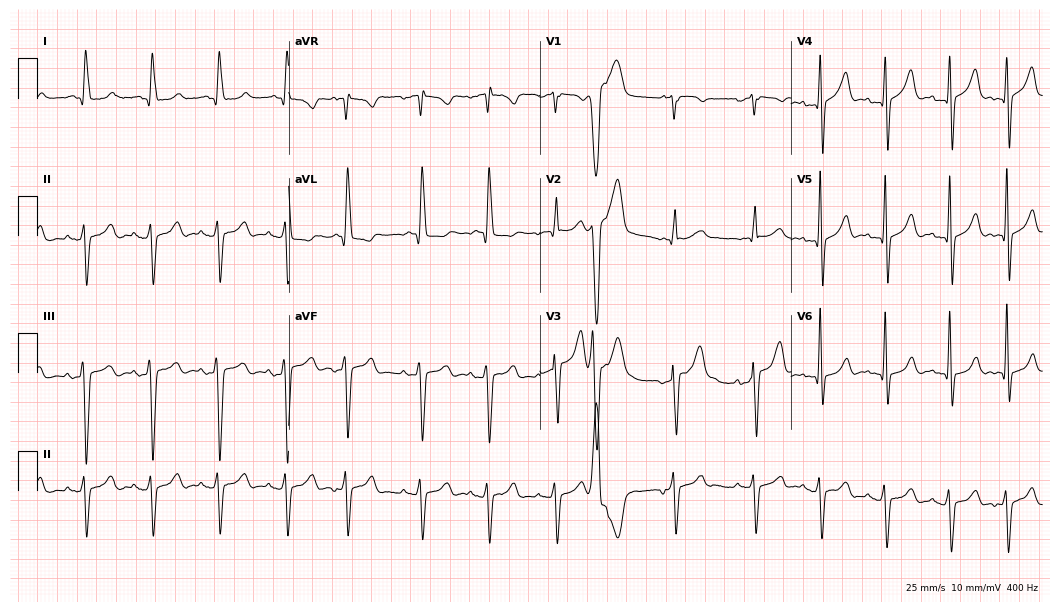
Standard 12-lead ECG recorded from a male patient, 54 years old (10.2-second recording at 400 Hz). None of these six findings is recorded: first-degree AV block, right bundle branch block (RBBB), left bundle branch block (LBBB), sinus bradycardia, atrial fibrillation (AF), sinus tachycardia. Other findings, if any, are not listed.